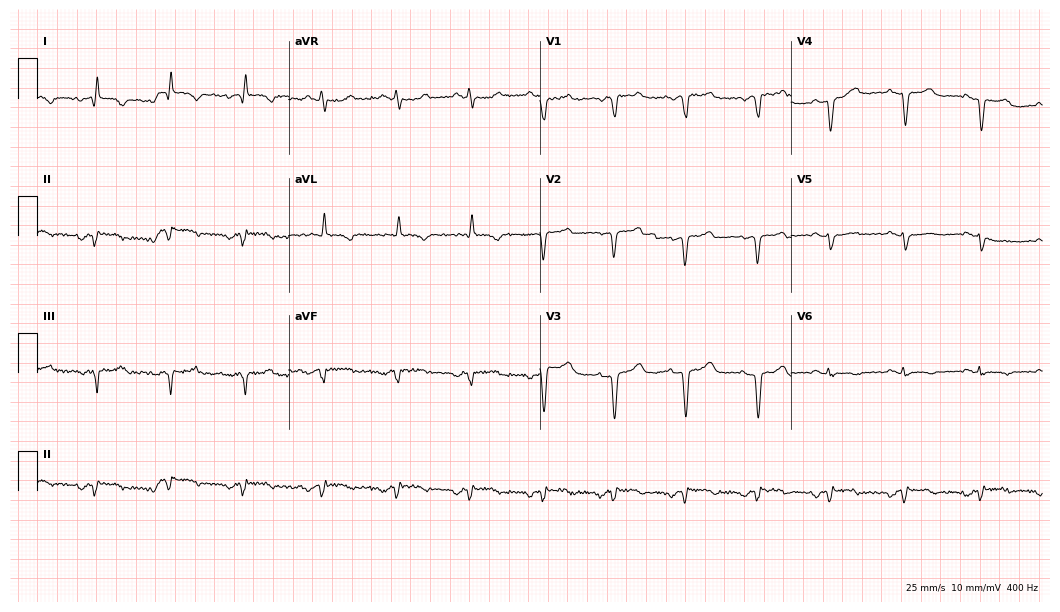
12-lead ECG from a 49-year-old female patient. No first-degree AV block, right bundle branch block, left bundle branch block, sinus bradycardia, atrial fibrillation or sinus tachycardia recorded for this tracing. Findings outside these six are not listed.